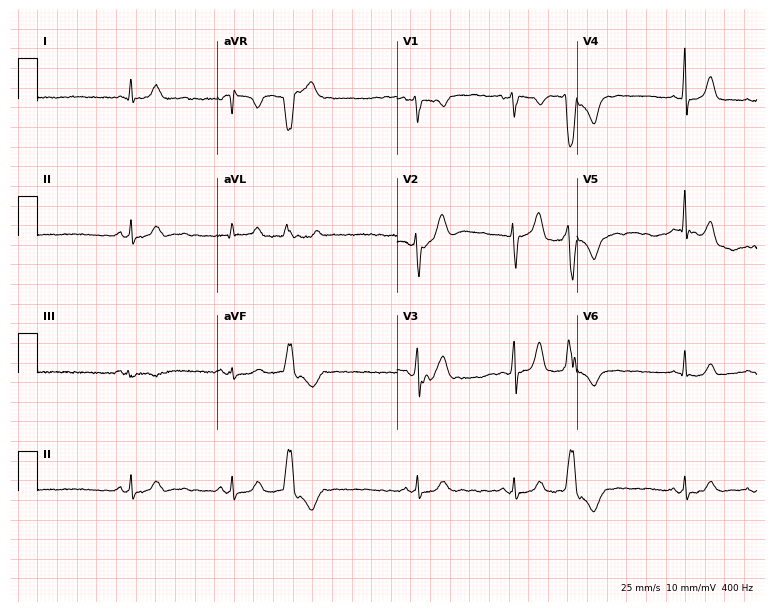
Electrocardiogram (7.3-second recording at 400 Hz), a female patient, 32 years old. Of the six screened findings (first-degree AV block, right bundle branch block (RBBB), left bundle branch block (LBBB), sinus bradycardia, atrial fibrillation (AF), sinus tachycardia), none is recorded.